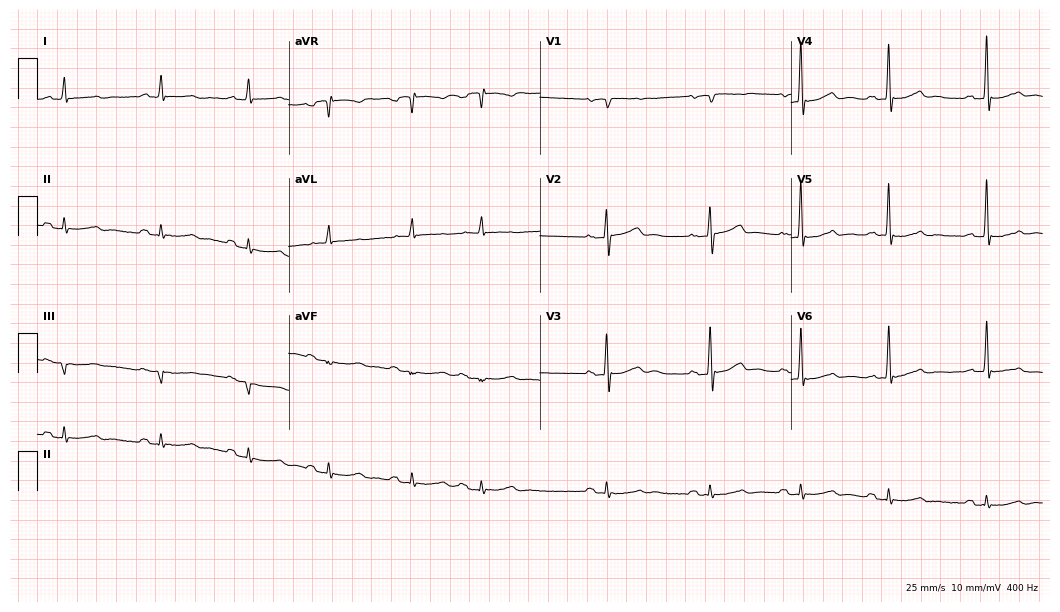
Electrocardiogram, an 82-year-old male patient. Overall reading on record: normal ECG.